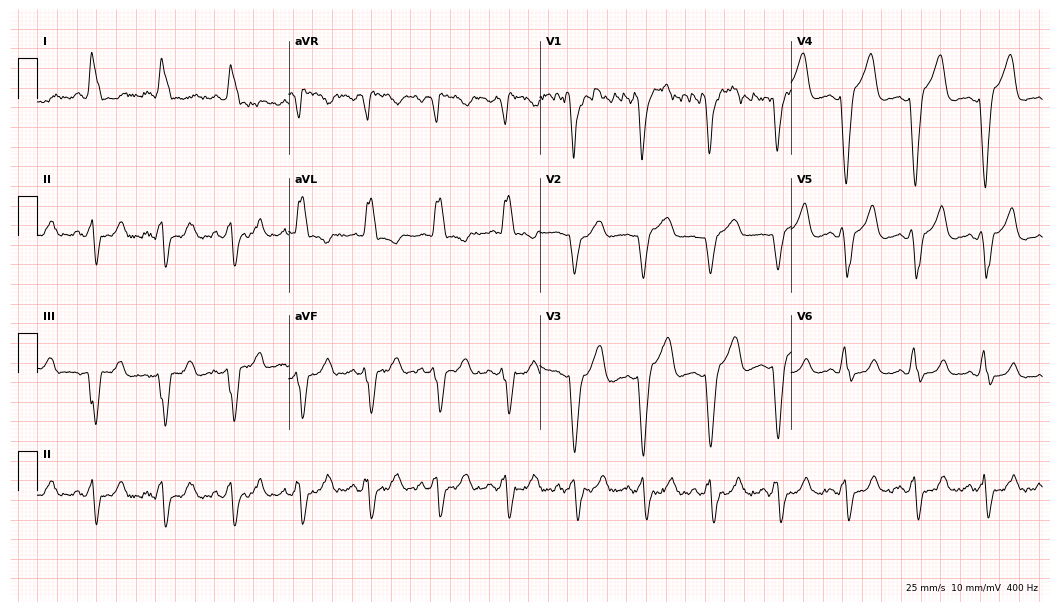
Resting 12-lead electrocardiogram. Patient: a woman, 38 years old. The tracing shows left bundle branch block.